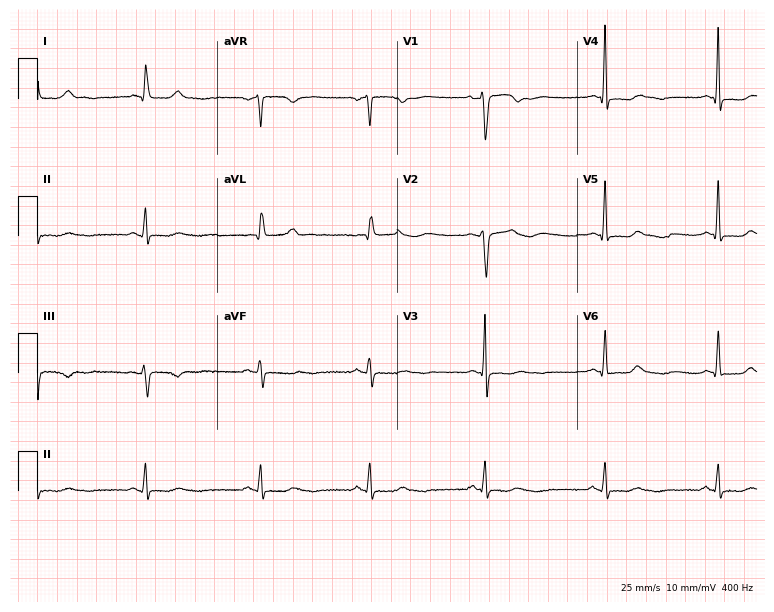
ECG — a female, 63 years old. Screened for six findings — first-degree AV block, right bundle branch block, left bundle branch block, sinus bradycardia, atrial fibrillation, sinus tachycardia — none is recorded.